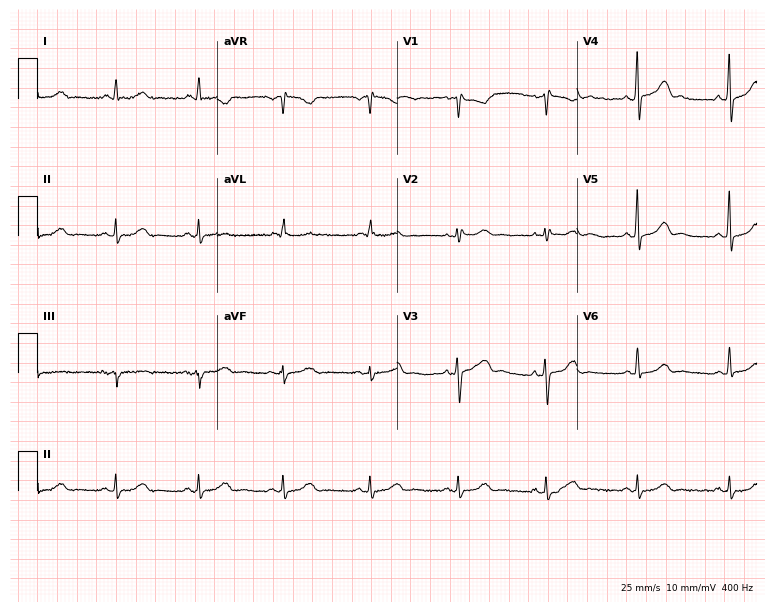
12-lead ECG (7.3-second recording at 400 Hz) from a 56-year-old male. Labelled as a normal ECG.